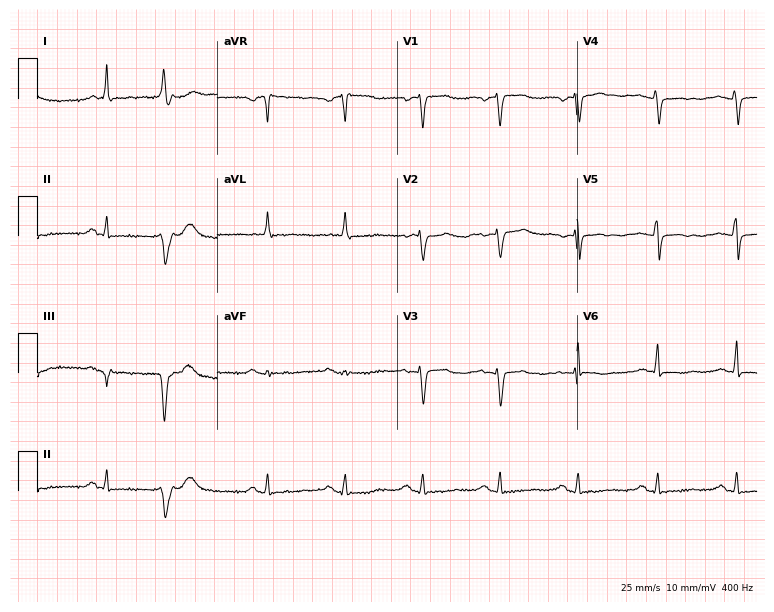
12-lead ECG from a woman, 64 years old. Screened for six findings — first-degree AV block, right bundle branch block, left bundle branch block, sinus bradycardia, atrial fibrillation, sinus tachycardia — none is recorded. Only these six findings were labelled.